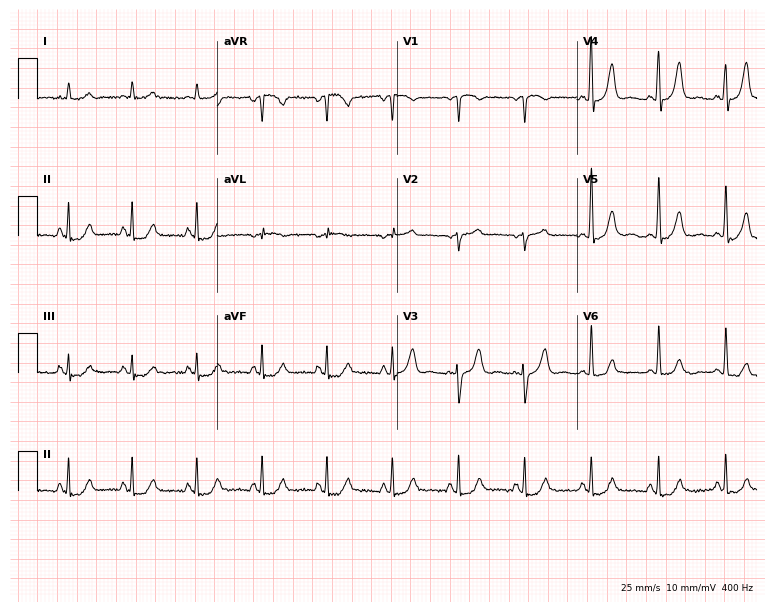
Standard 12-lead ECG recorded from a man, 70 years old (7.3-second recording at 400 Hz). None of these six findings is recorded: first-degree AV block, right bundle branch block, left bundle branch block, sinus bradycardia, atrial fibrillation, sinus tachycardia. Findings outside these six are not listed.